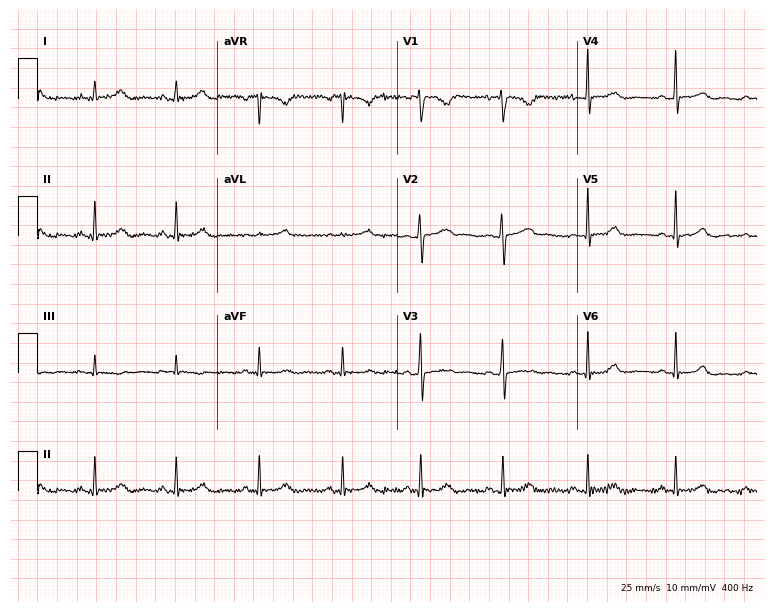
Resting 12-lead electrocardiogram (7.3-second recording at 400 Hz). Patient: a 26-year-old female. None of these six findings is recorded: first-degree AV block, right bundle branch block (RBBB), left bundle branch block (LBBB), sinus bradycardia, atrial fibrillation (AF), sinus tachycardia. Findings outside these six are not listed.